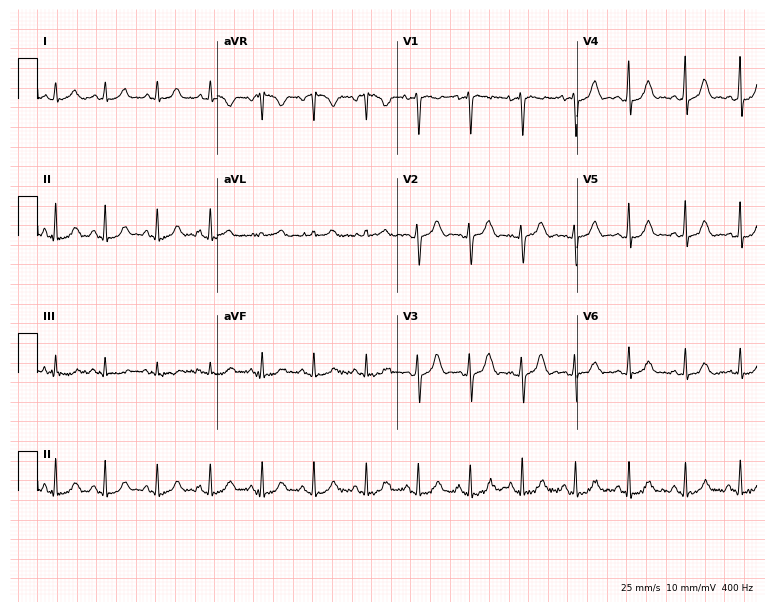
Standard 12-lead ECG recorded from a female patient, 20 years old. The tracing shows sinus tachycardia (a sinus rate of 100 beats per minute or more).